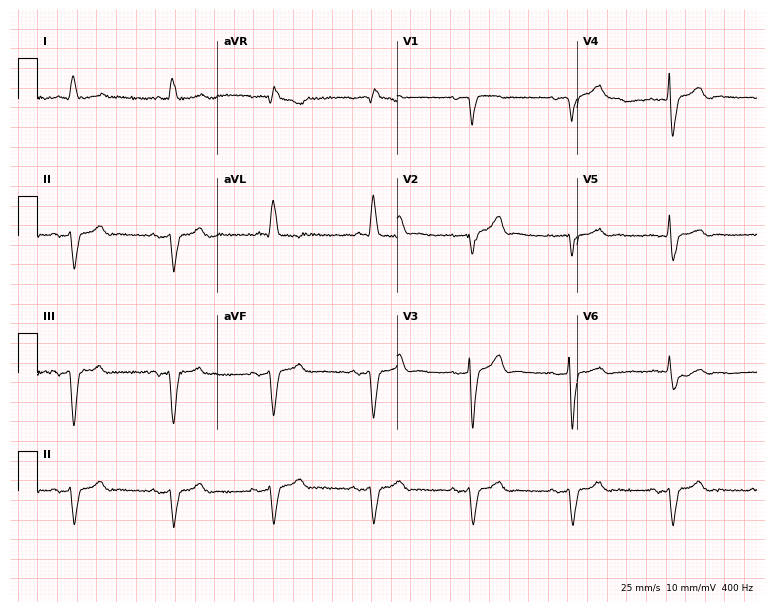
12-lead ECG from a male, 87 years old. Screened for six findings — first-degree AV block, right bundle branch block (RBBB), left bundle branch block (LBBB), sinus bradycardia, atrial fibrillation (AF), sinus tachycardia — none is recorded.